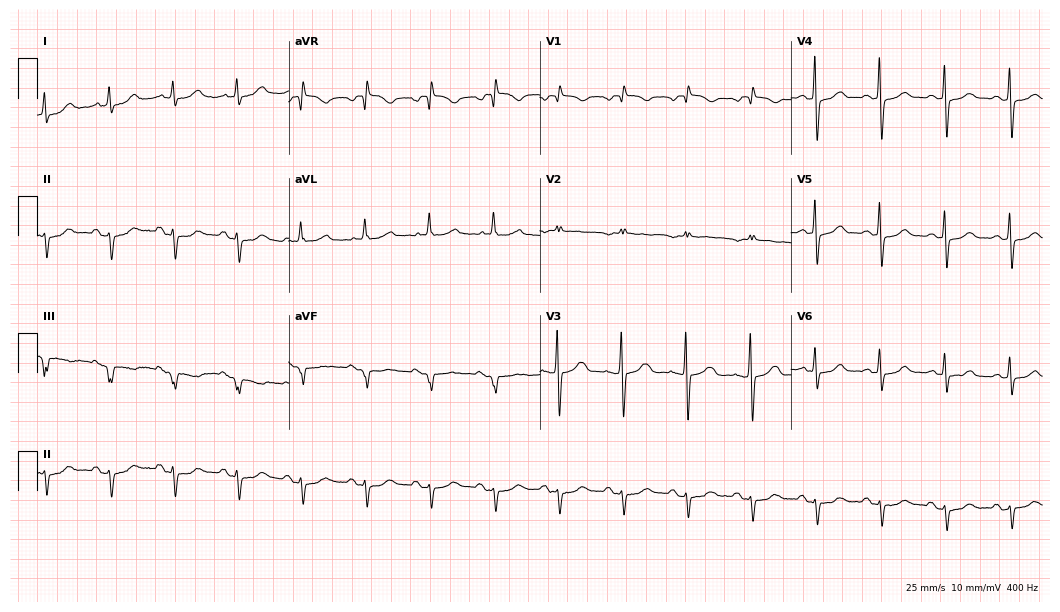
12-lead ECG from an 84-year-old female patient. No first-degree AV block, right bundle branch block, left bundle branch block, sinus bradycardia, atrial fibrillation or sinus tachycardia recorded for this tracing.